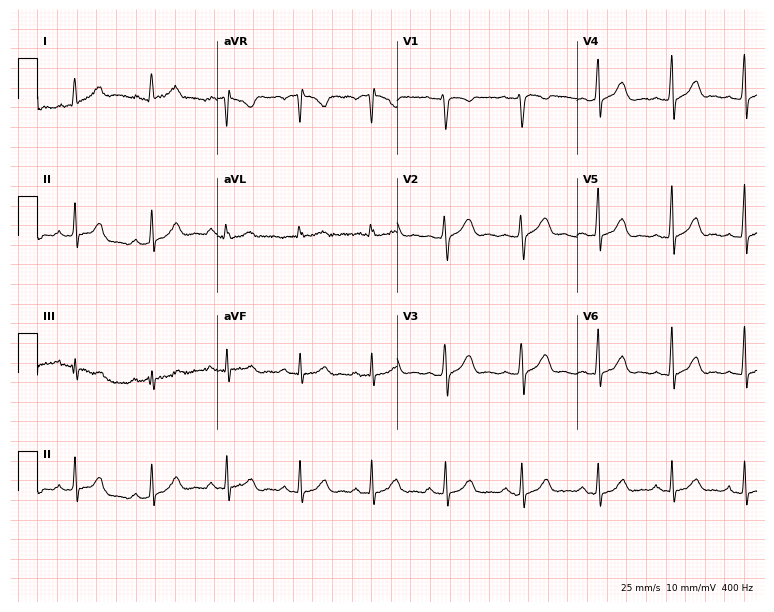
12-lead ECG from a 36-year-old female (7.3-second recording at 400 Hz). No first-degree AV block, right bundle branch block, left bundle branch block, sinus bradycardia, atrial fibrillation or sinus tachycardia recorded for this tracing.